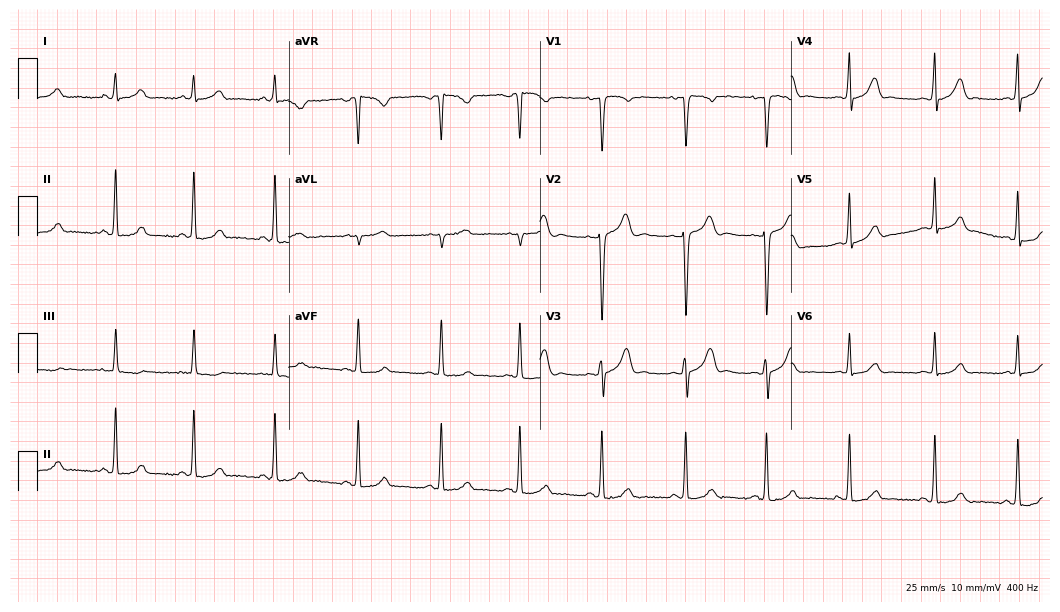
ECG — a 20-year-old female patient. Screened for six findings — first-degree AV block, right bundle branch block, left bundle branch block, sinus bradycardia, atrial fibrillation, sinus tachycardia — none is recorded.